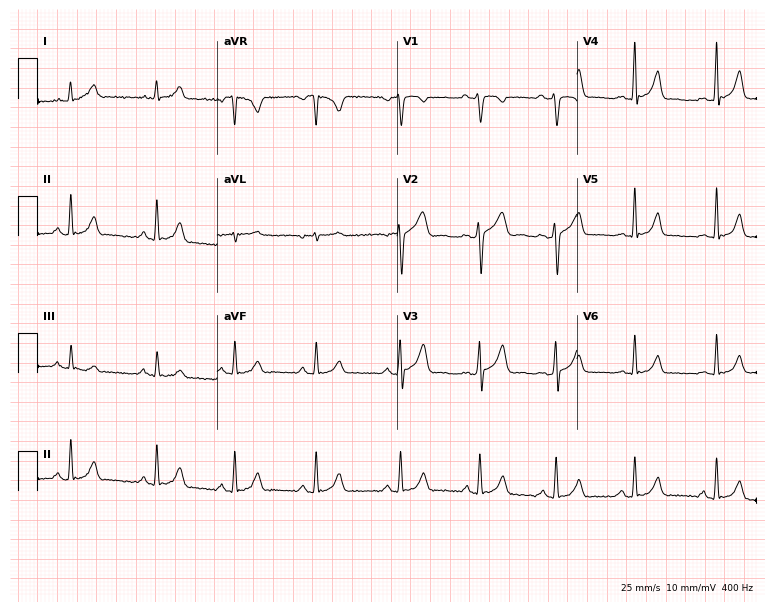
Resting 12-lead electrocardiogram. Patient: a 34-year-old male. None of these six findings is recorded: first-degree AV block, right bundle branch block, left bundle branch block, sinus bradycardia, atrial fibrillation, sinus tachycardia.